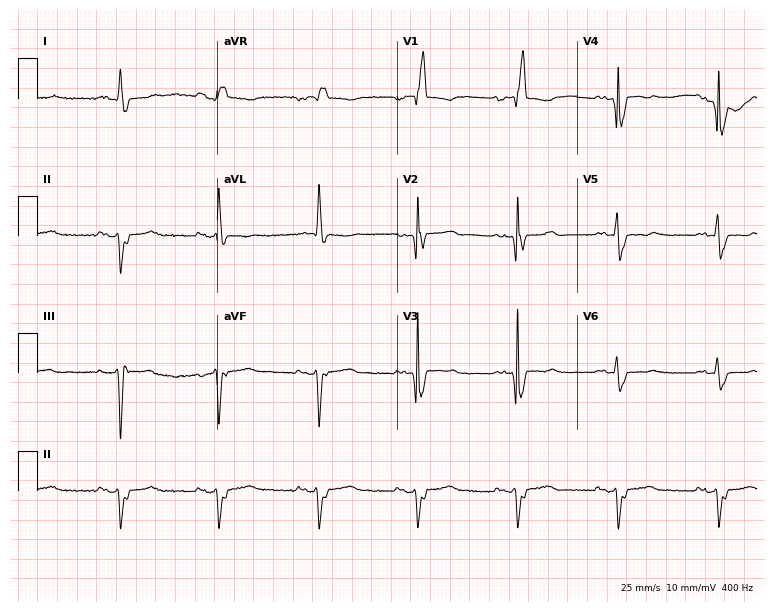
Standard 12-lead ECG recorded from a man, 76 years old (7.3-second recording at 400 Hz). The tracing shows right bundle branch block.